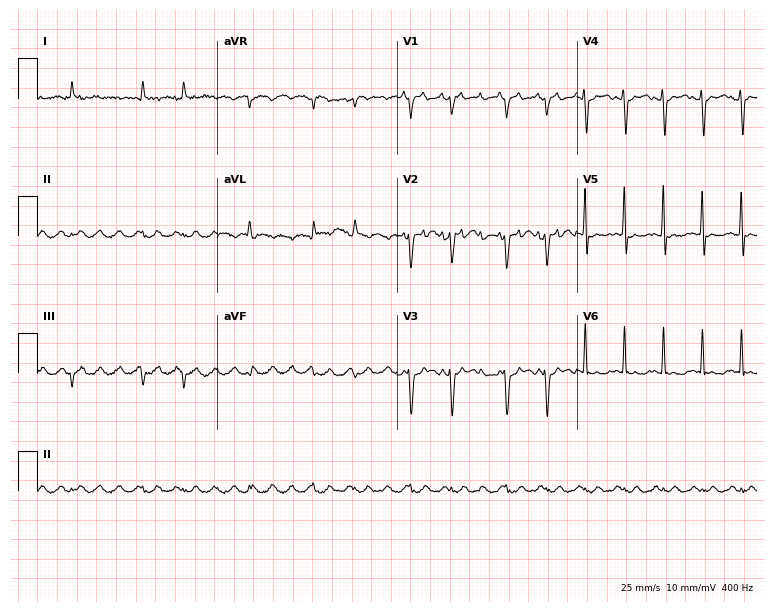
12-lead ECG from an 81-year-old female patient. No first-degree AV block, right bundle branch block, left bundle branch block, sinus bradycardia, atrial fibrillation or sinus tachycardia recorded for this tracing. Only these six findings were labelled.